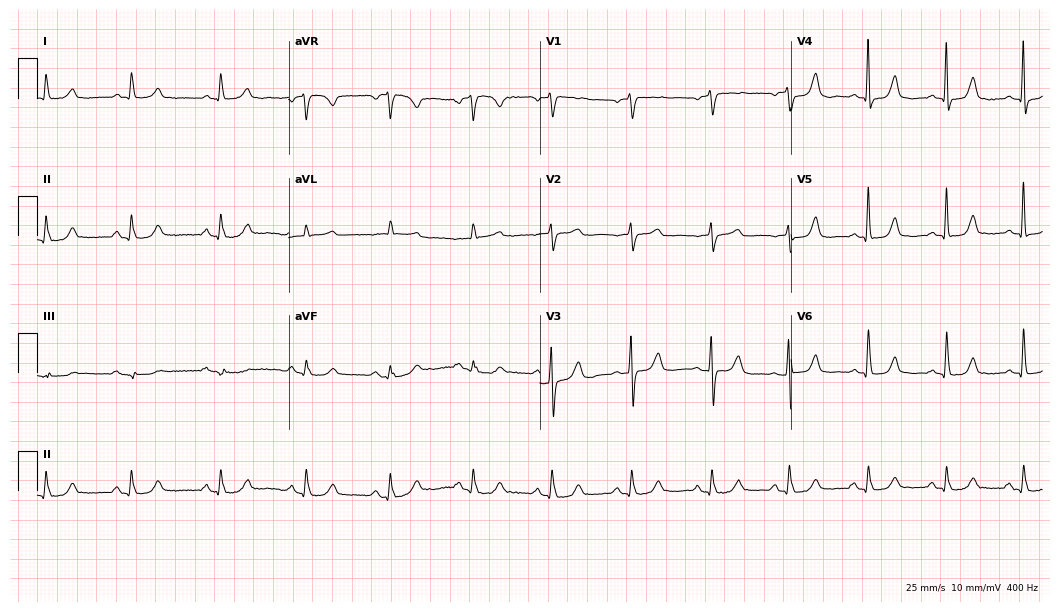
12-lead ECG from a female patient, 72 years old (10.2-second recording at 400 Hz). No first-degree AV block, right bundle branch block, left bundle branch block, sinus bradycardia, atrial fibrillation or sinus tachycardia recorded for this tracing.